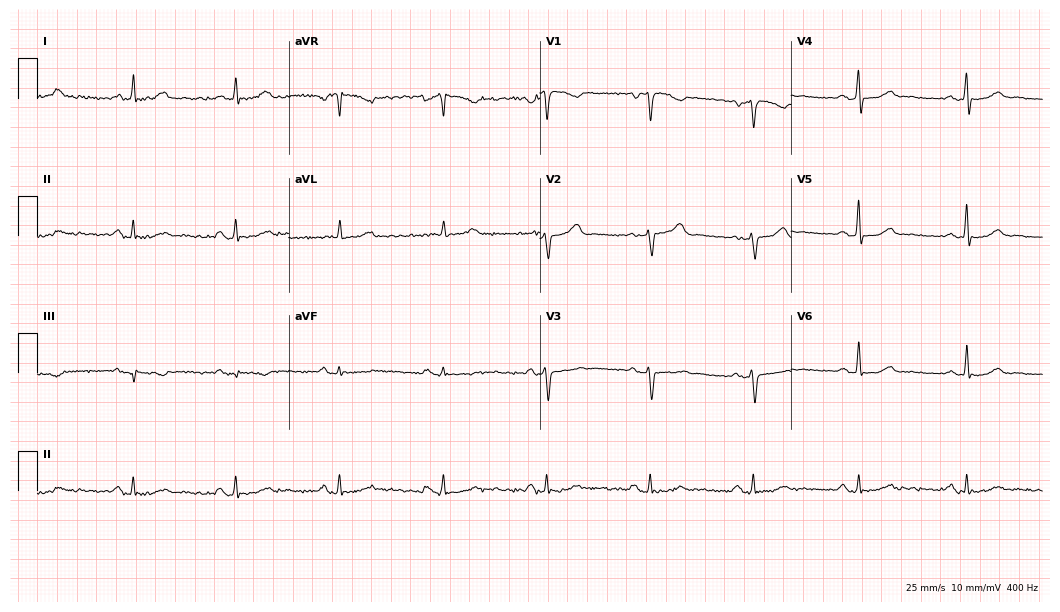
12-lead ECG from a 49-year-old female patient (10.2-second recording at 400 Hz). Recorded interpretation: within normal limits.